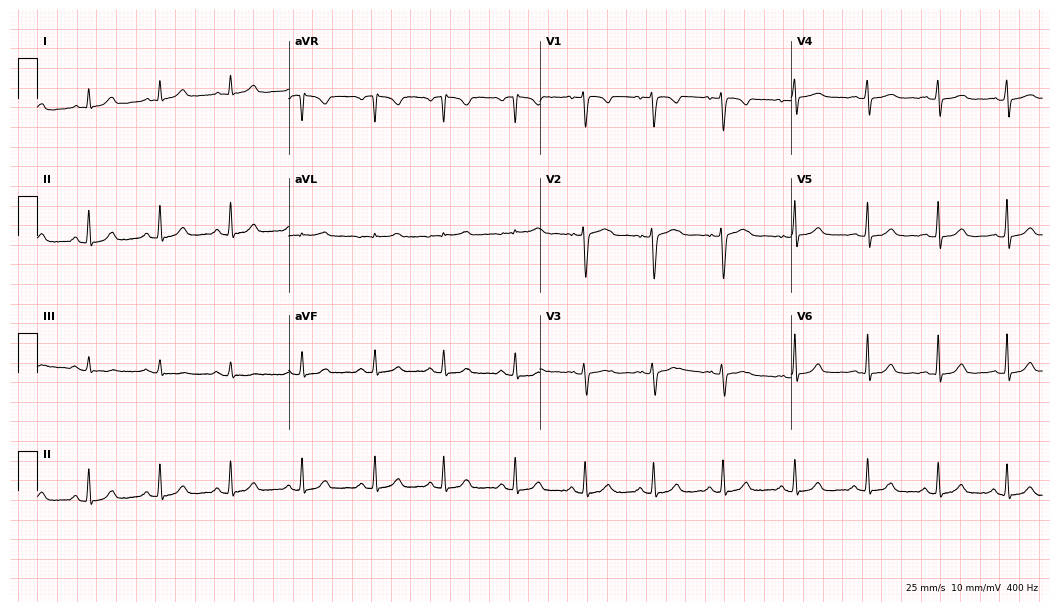
12-lead ECG from a woman, 40 years old. Recorded interpretation: within normal limits.